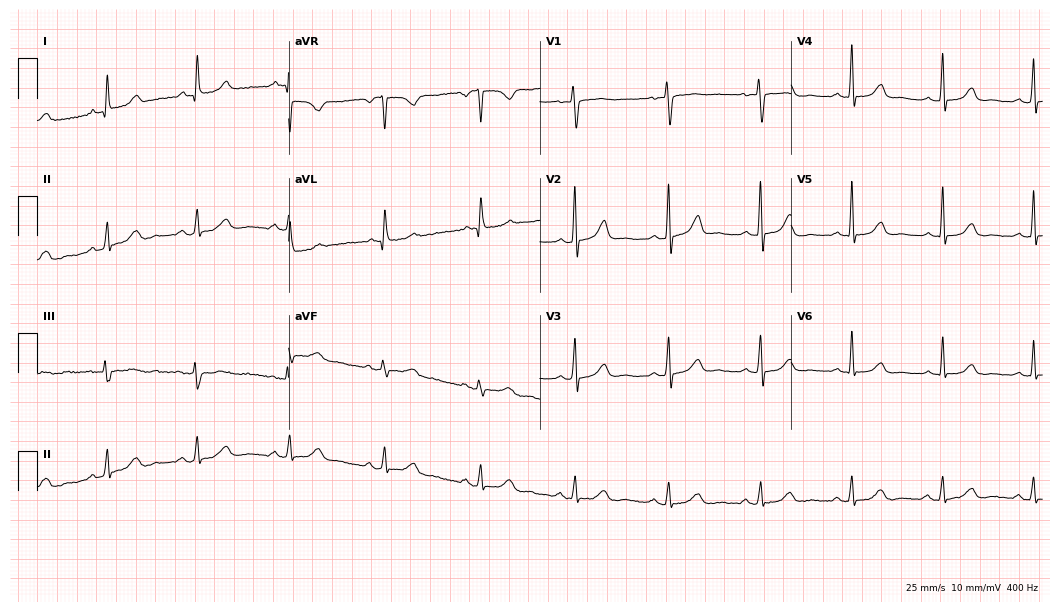
Electrocardiogram, a female patient, 58 years old. Overall reading on record: normal ECG.